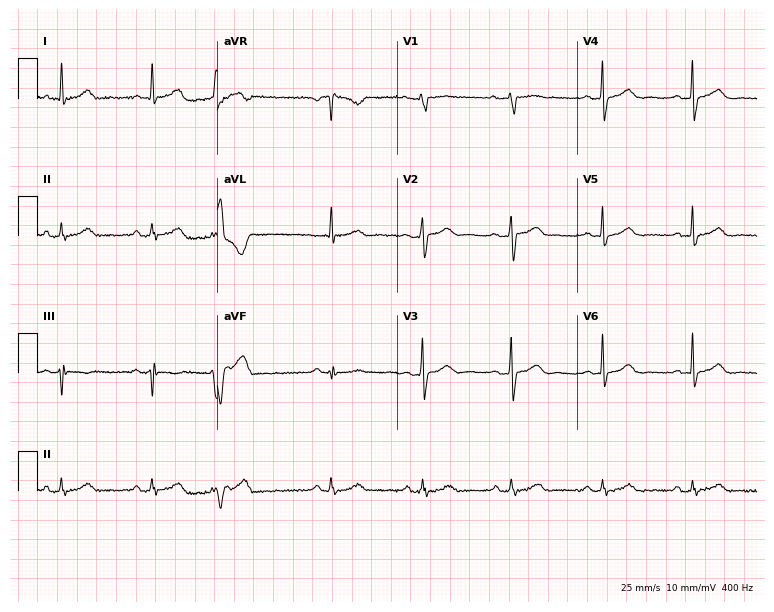
12-lead ECG from a 49-year-old woman. Screened for six findings — first-degree AV block, right bundle branch block, left bundle branch block, sinus bradycardia, atrial fibrillation, sinus tachycardia — none is recorded. Only these six findings were labelled.